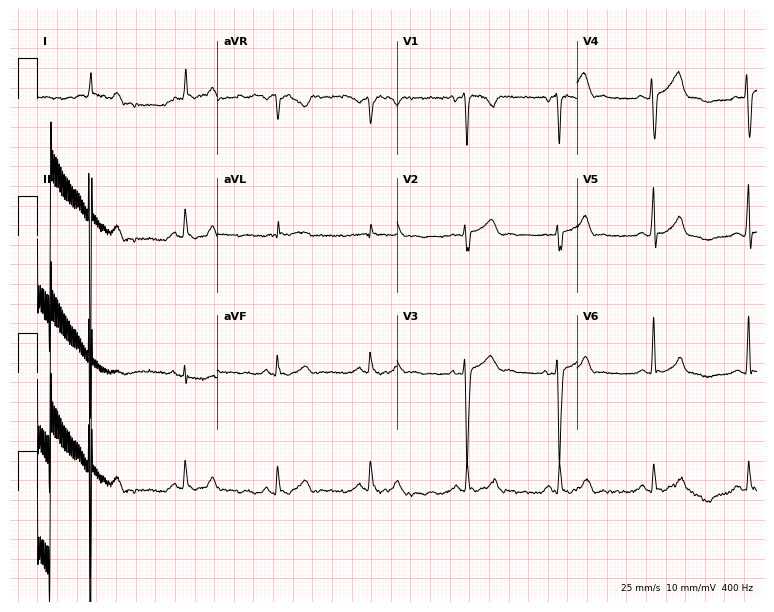
12-lead ECG from a 29-year-old man. Labelled as a normal ECG.